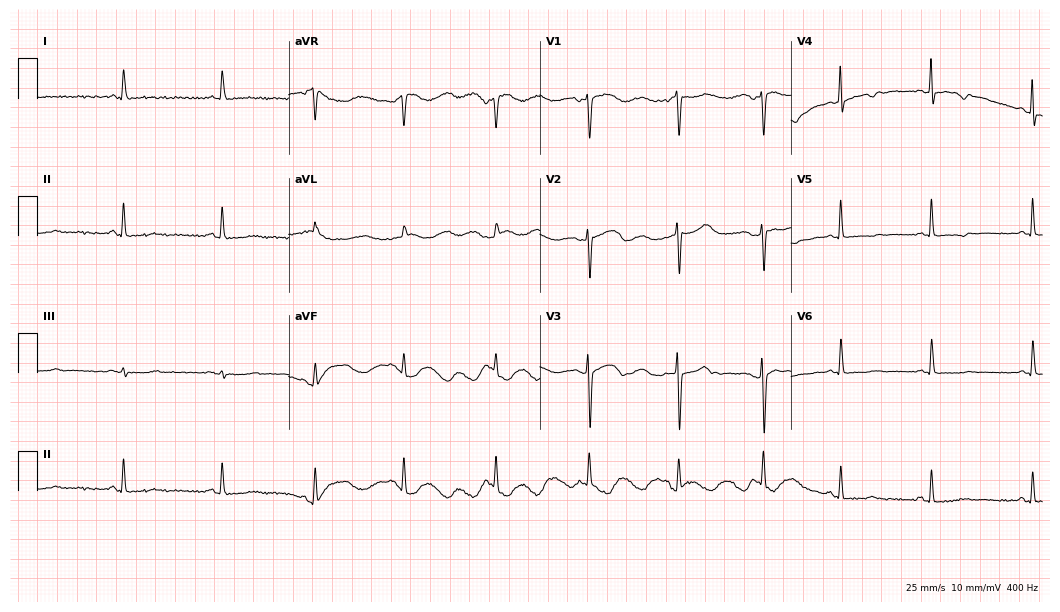
ECG — a female, 61 years old. Screened for six findings — first-degree AV block, right bundle branch block (RBBB), left bundle branch block (LBBB), sinus bradycardia, atrial fibrillation (AF), sinus tachycardia — none is recorded.